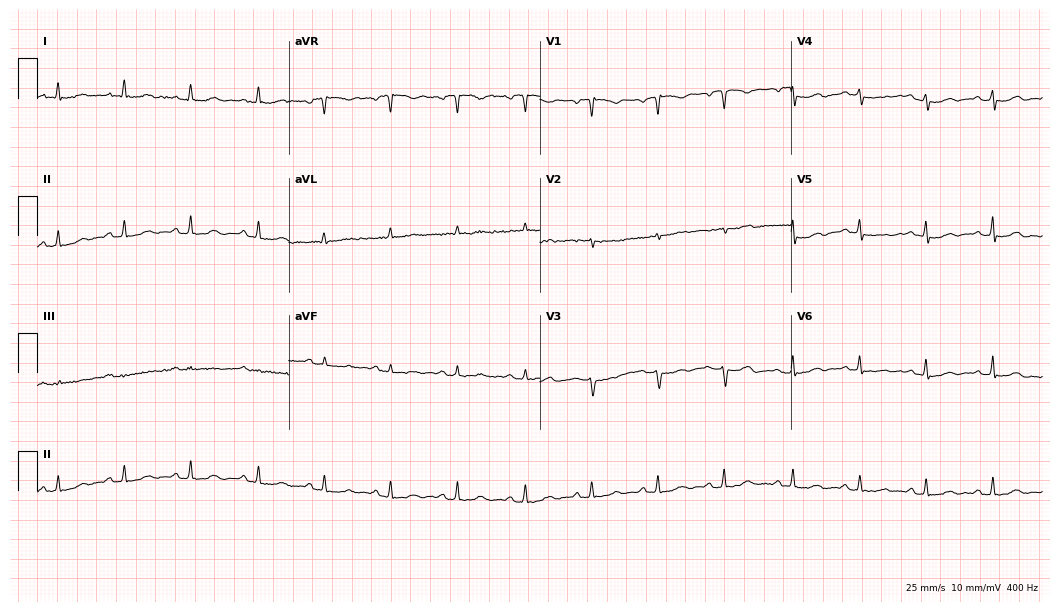
12-lead ECG from a 71-year-old female patient. No first-degree AV block, right bundle branch block, left bundle branch block, sinus bradycardia, atrial fibrillation or sinus tachycardia recorded for this tracing. Other findings, if any, are not listed.